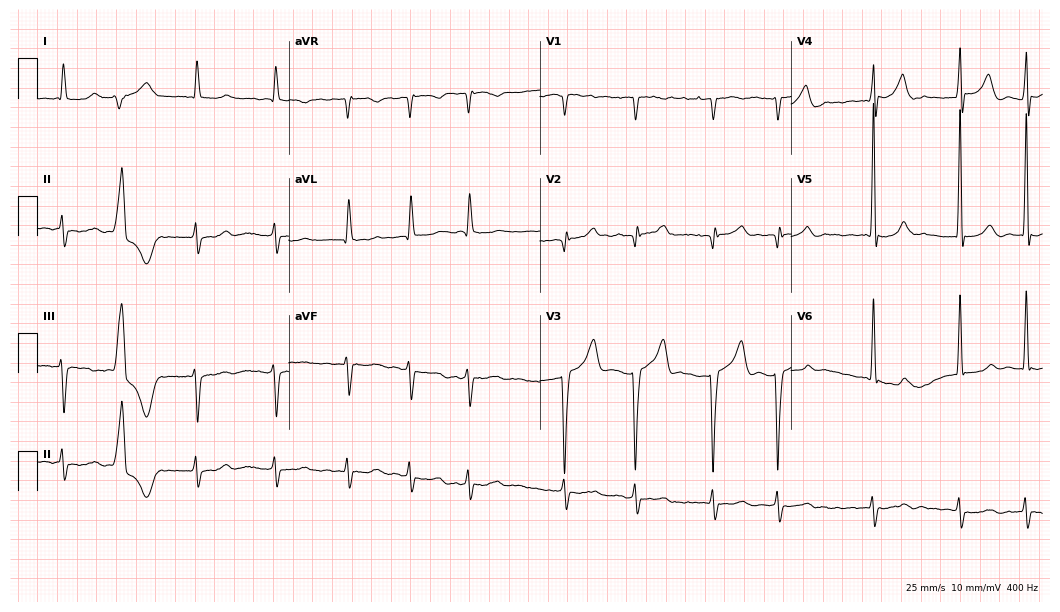
Standard 12-lead ECG recorded from an 86-year-old man (10.2-second recording at 400 Hz). The tracing shows atrial fibrillation (AF).